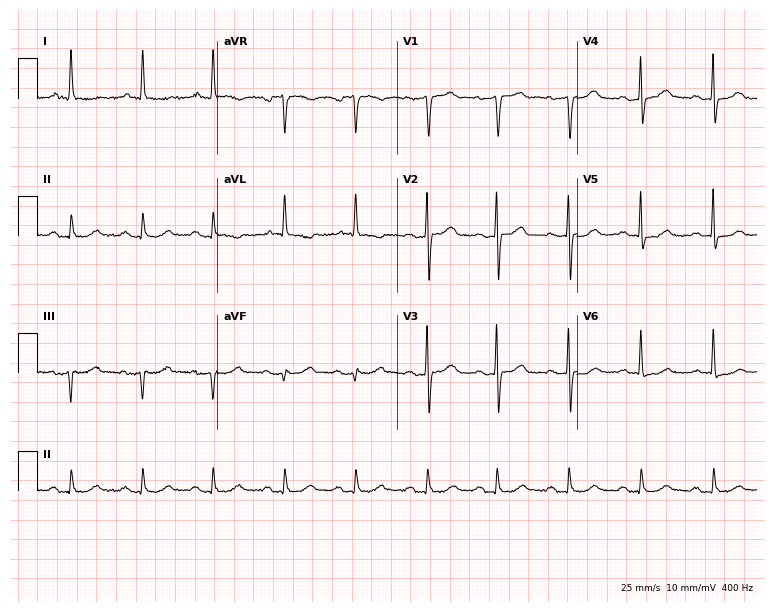
ECG (7.3-second recording at 400 Hz) — a male, 64 years old. Screened for six findings — first-degree AV block, right bundle branch block, left bundle branch block, sinus bradycardia, atrial fibrillation, sinus tachycardia — none is recorded.